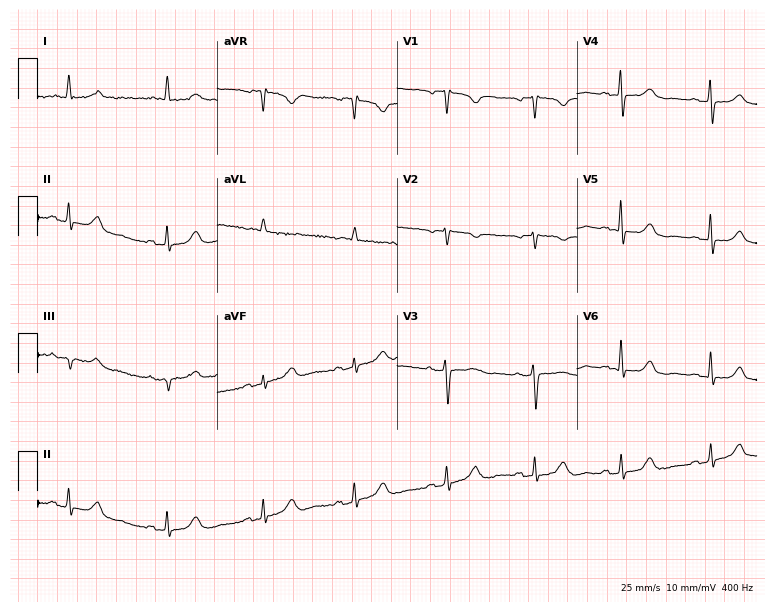
Standard 12-lead ECG recorded from a 68-year-old female. None of these six findings is recorded: first-degree AV block, right bundle branch block, left bundle branch block, sinus bradycardia, atrial fibrillation, sinus tachycardia.